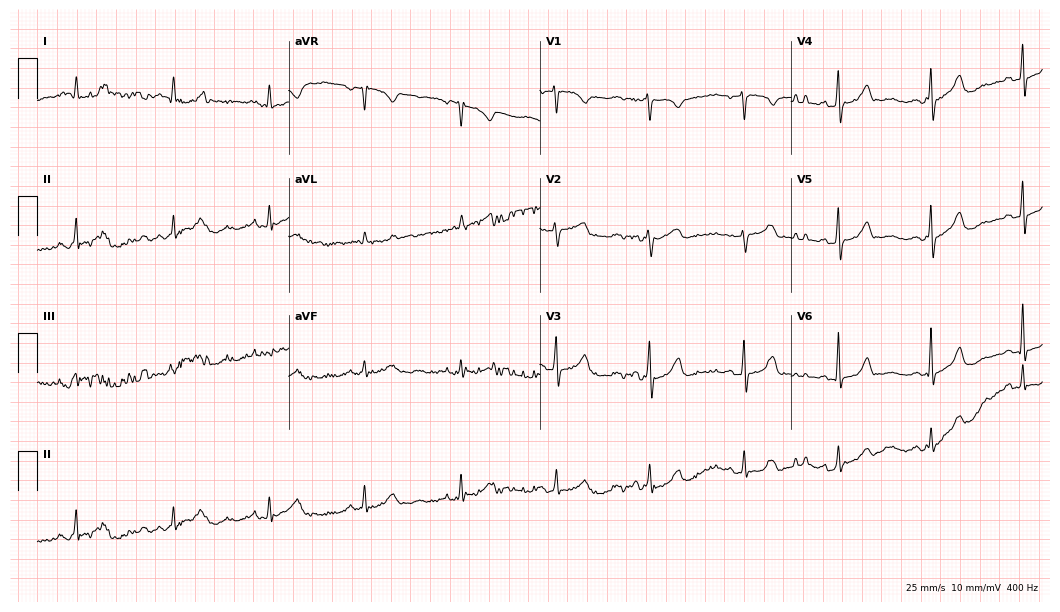
Electrocardiogram, a woman, 57 years old. Overall reading on record: normal ECG.